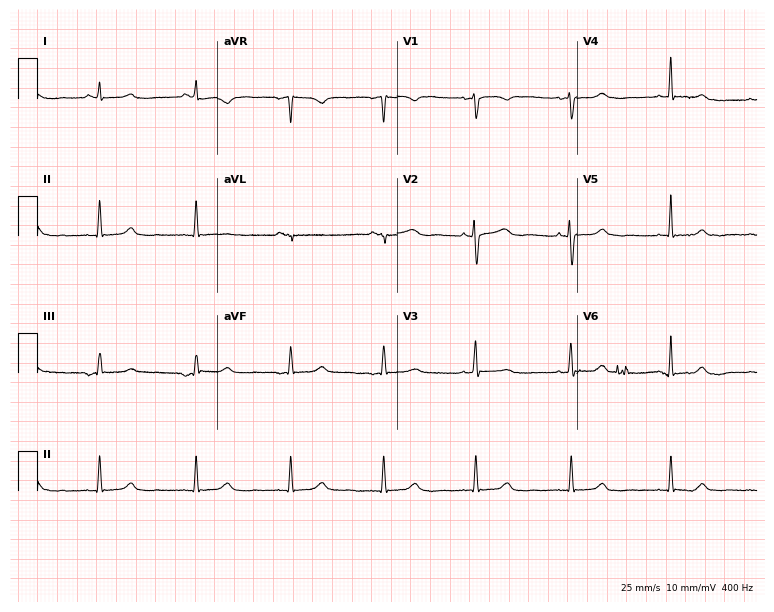
Electrocardiogram, a female, 36 years old. Of the six screened findings (first-degree AV block, right bundle branch block, left bundle branch block, sinus bradycardia, atrial fibrillation, sinus tachycardia), none is recorded.